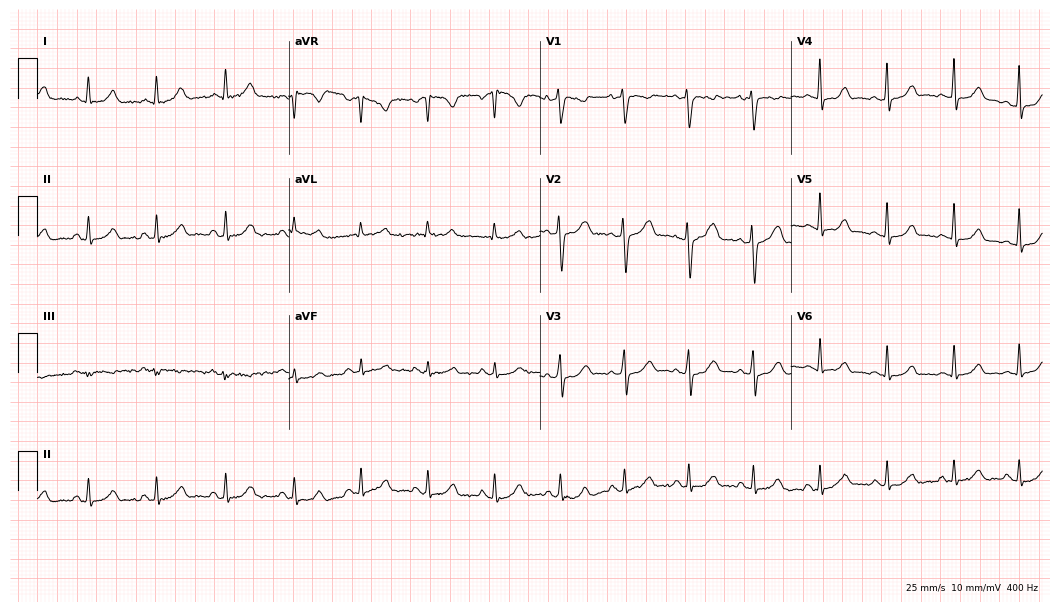
Electrocardiogram (10.2-second recording at 400 Hz), a 42-year-old woman. Of the six screened findings (first-degree AV block, right bundle branch block, left bundle branch block, sinus bradycardia, atrial fibrillation, sinus tachycardia), none is recorded. Only these six findings were labelled.